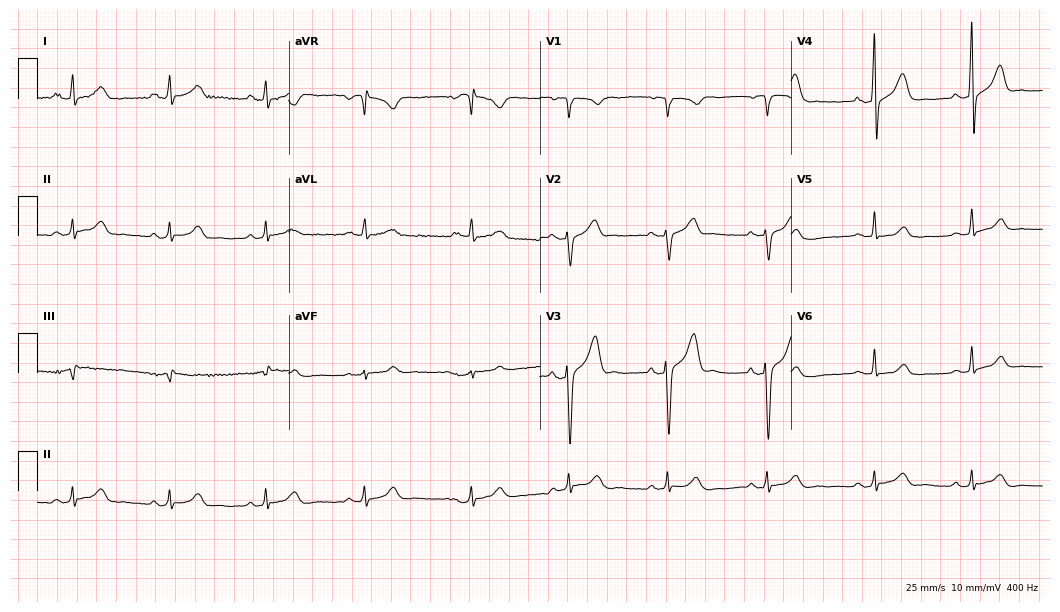
12-lead ECG from a man, 42 years old (10.2-second recording at 400 Hz). Recorded interpretation: within normal limits.